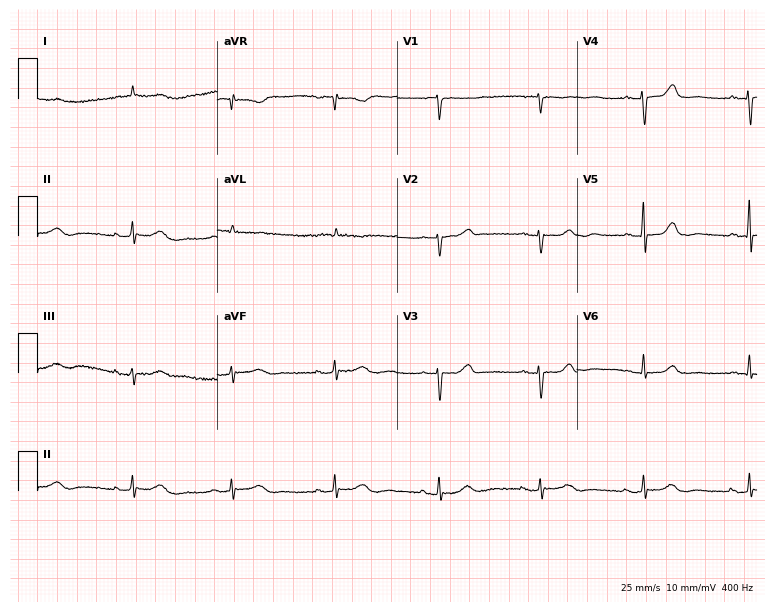
12-lead ECG (7.3-second recording at 400 Hz) from a male patient, 83 years old. Labelled as a normal ECG.